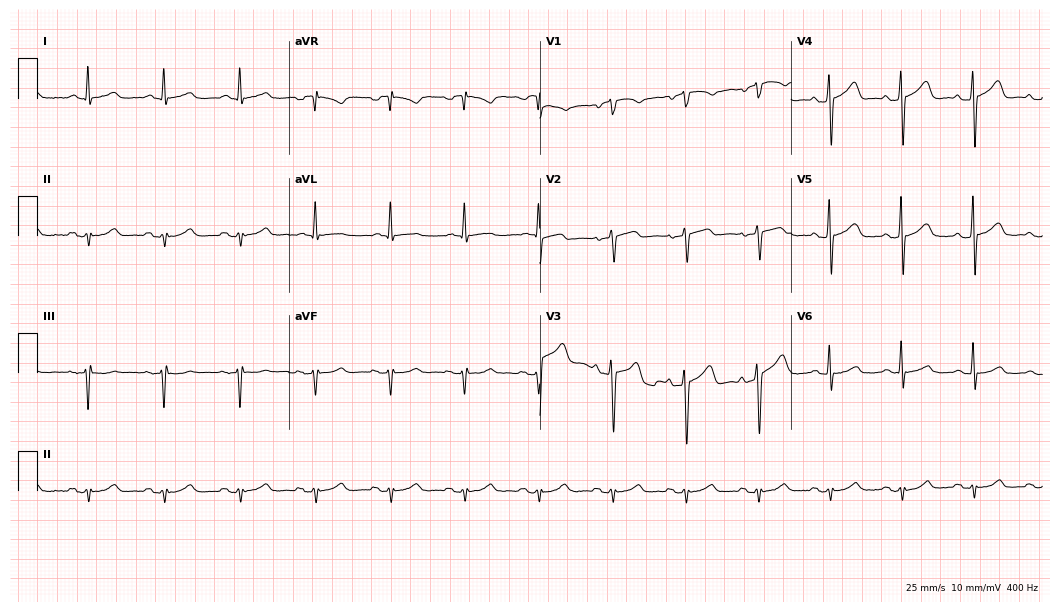
Standard 12-lead ECG recorded from a male, 66 years old. Read as a normal ECG.